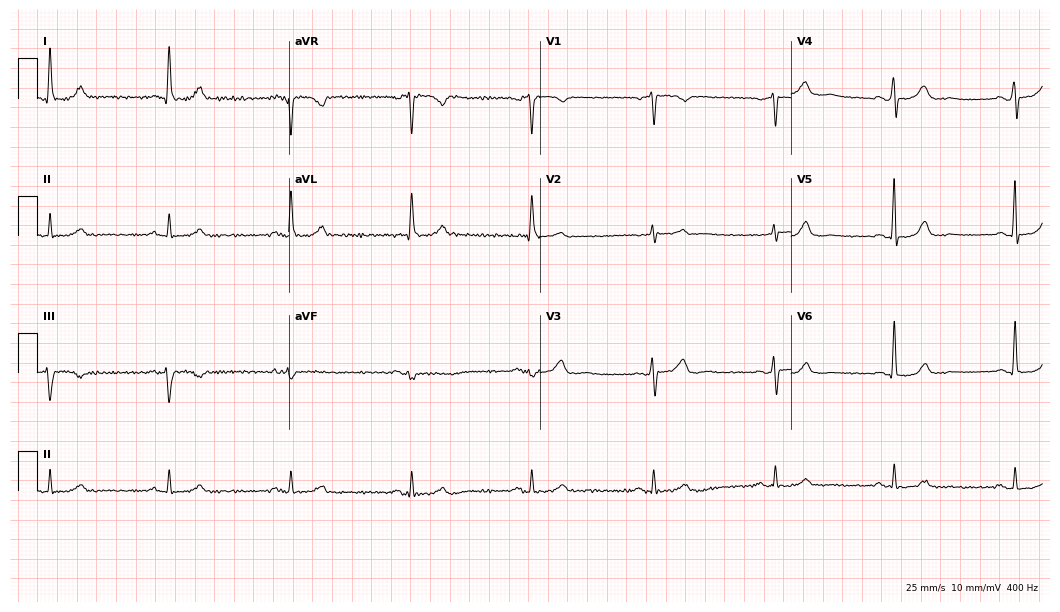
12-lead ECG (10.2-second recording at 400 Hz) from a female patient, 64 years old. Labelled as a normal ECG.